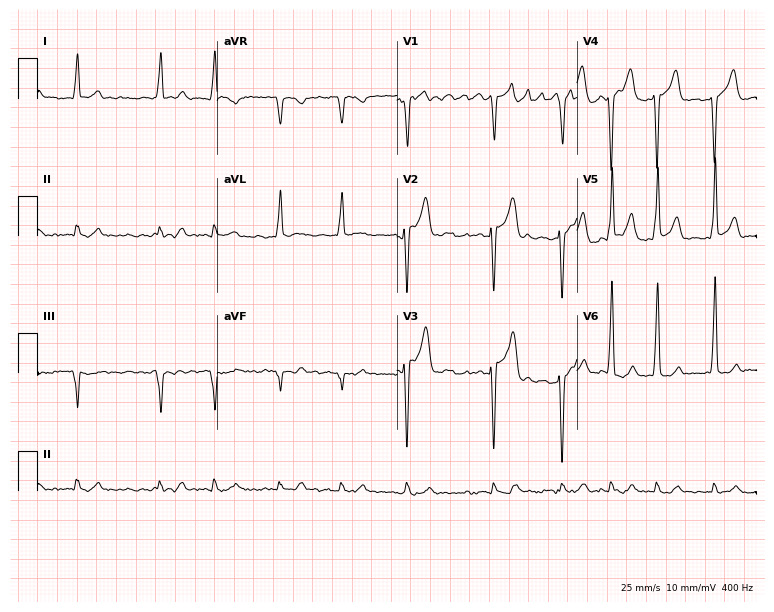
Standard 12-lead ECG recorded from a 77-year-old man. The tracing shows atrial fibrillation.